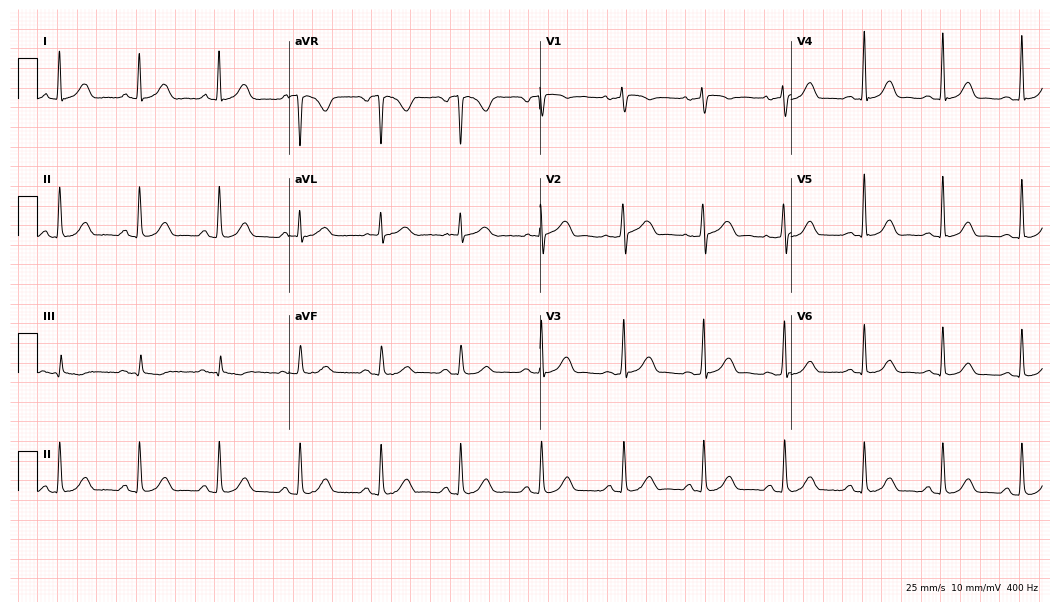
Standard 12-lead ECG recorded from a 56-year-old female patient (10.2-second recording at 400 Hz). Read as a normal ECG.